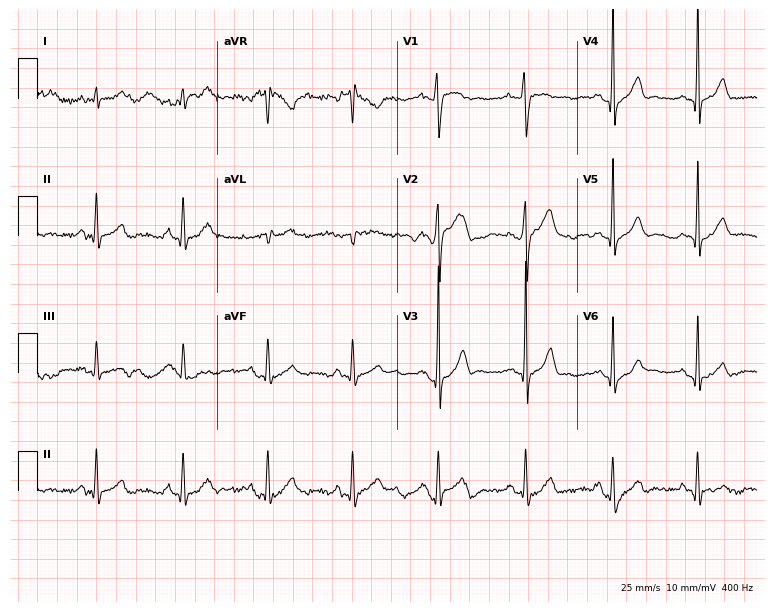
12-lead ECG from a 36-year-old man. Labelled as a normal ECG.